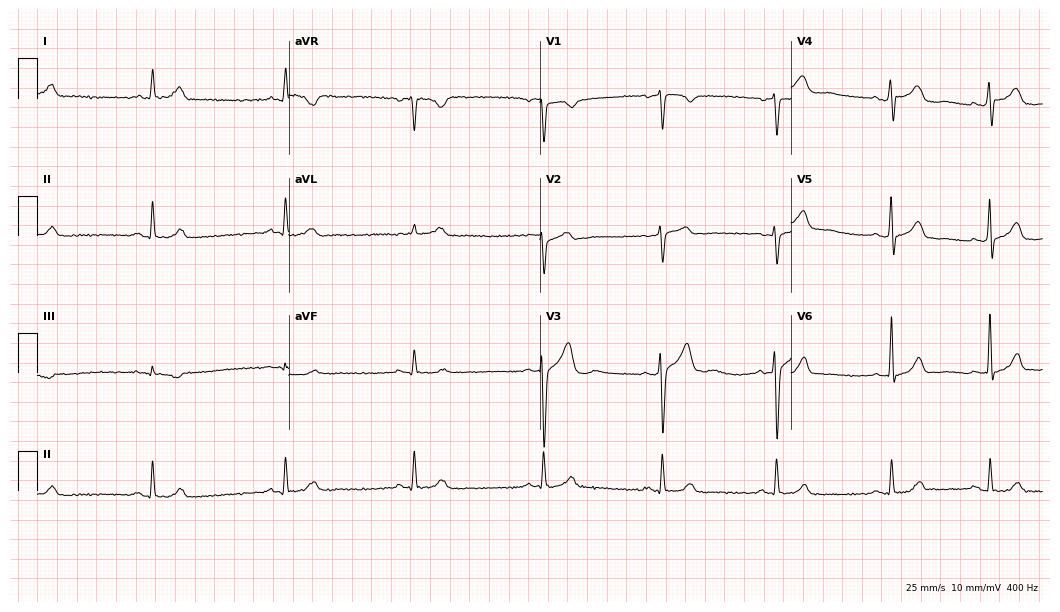
12-lead ECG (10.2-second recording at 400 Hz) from a 46-year-old male patient. Screened for six findings — first-degree AV block, right bundle branch block, left bundle branch block, sinus bradycardia, atrial fibrillation, sinus tachycardia — none is recorded. Only these six findings were labelled.